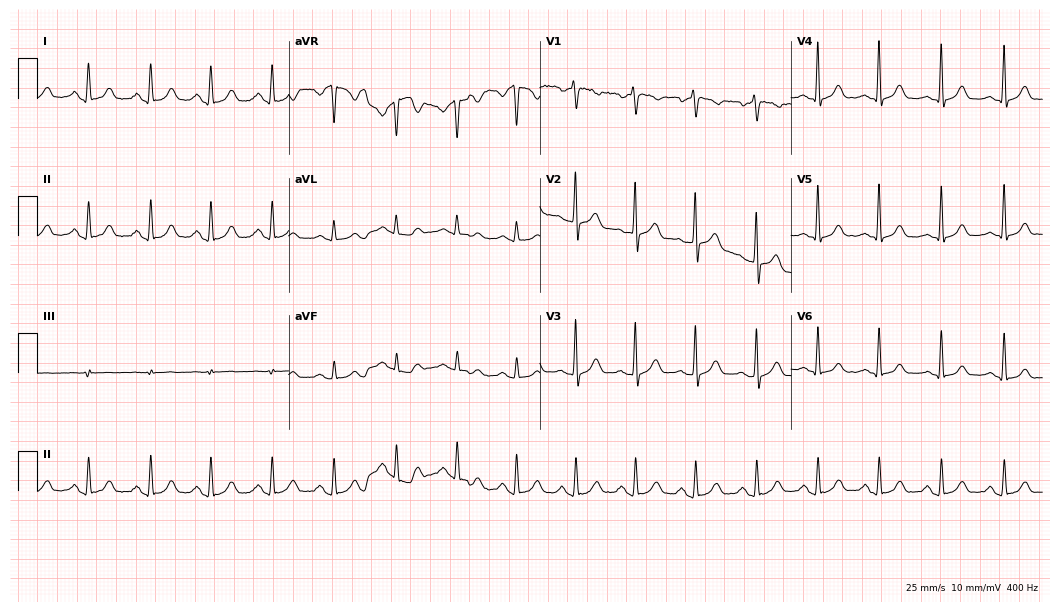
12-lead ECG from a female, 69 years old. Recorded interpretation: within normal limits.